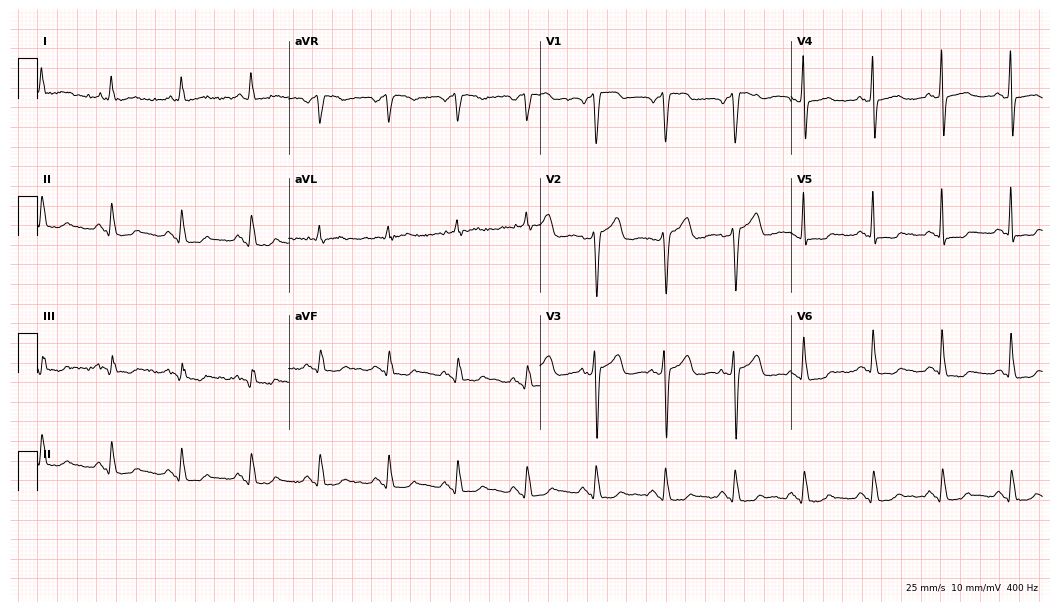
ECG (10.2-second recording at 400 Hz) — a male, 66 years old. Screened for six findings — first-degree AV block, right bundle branch block, left bundle branch block, sinus bradycardia, atrial fibrillation, sinus tachycardia — none is recorded. Other findings, if any, are not listed.